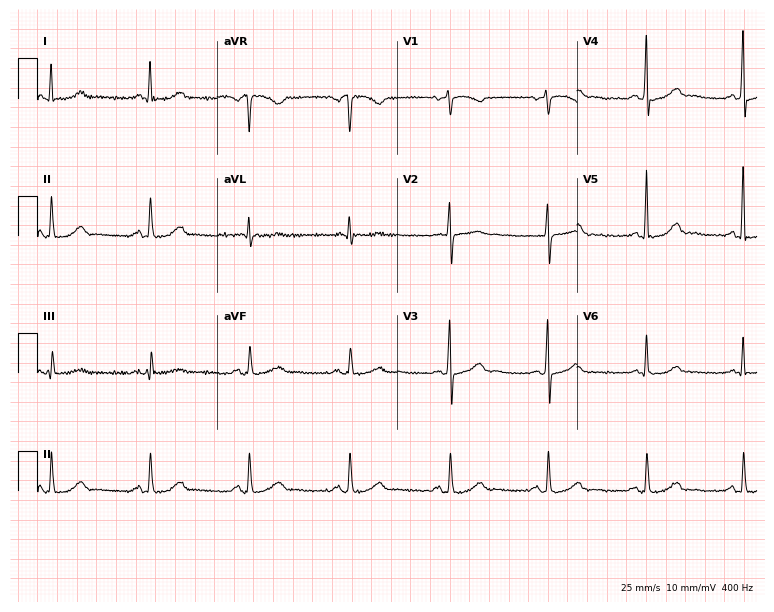
12-lead ECG (7.3-second recording at 400 Hz) from a 71-year-old female patient. Labelled as a normal ECG.